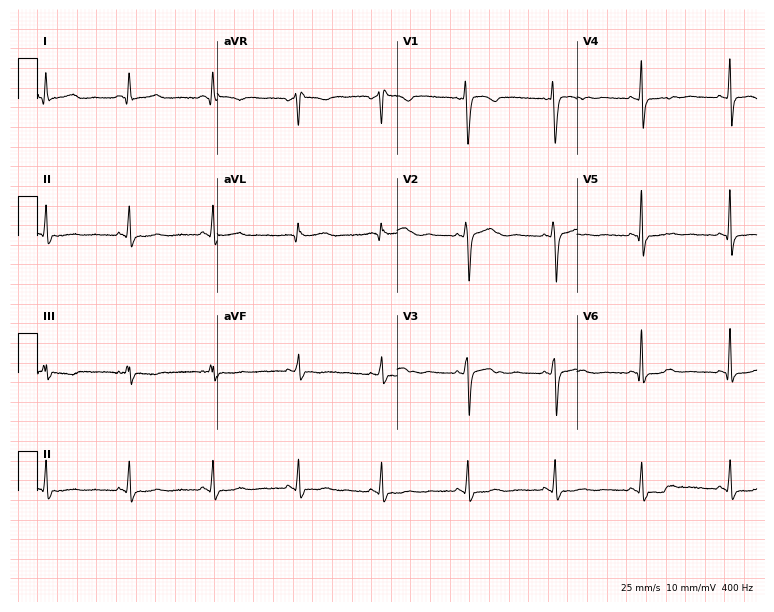
12-lead ECG from a female, 37 years old (7.3-second recording at 400 Hz). No first-degree AV block, right bundle branch block (RBBB), left bundle branch block (LBBB), sinus bradycardia, atrial fibrillation (AF) or sinus tachycardia recorded for this tracing. Other findings, if any, are not listed.